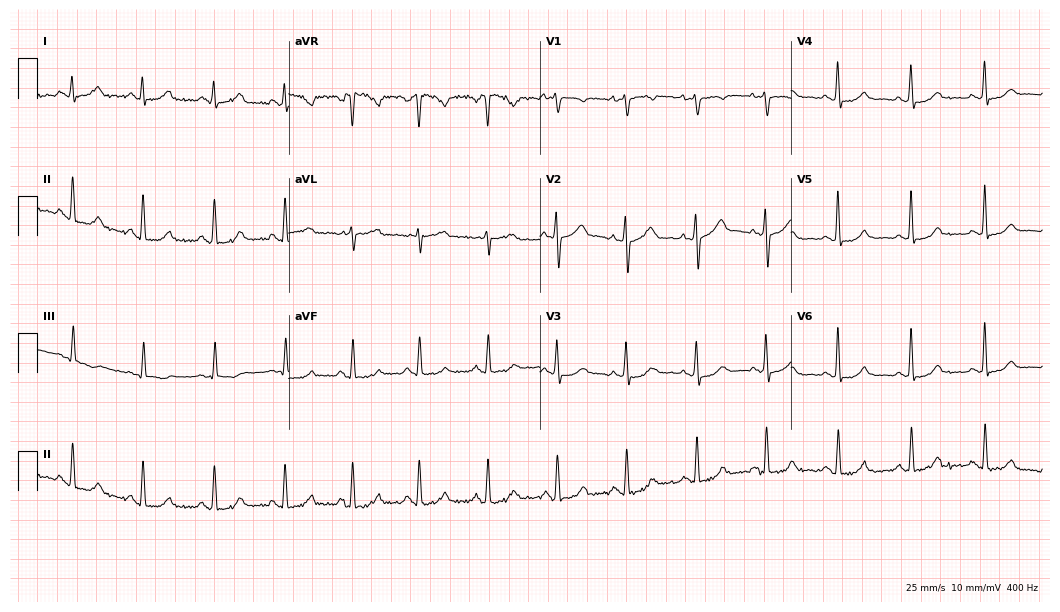
12-lead ECG from a 45-year-old female. Recorded interpretation: within normal limits.